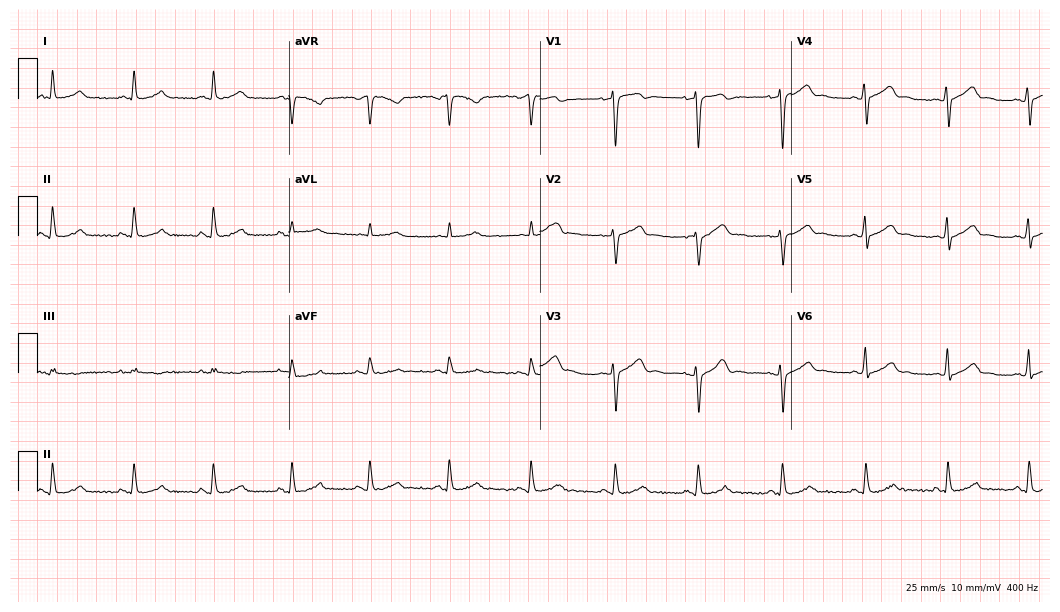
ECG — a 40-year-old male. Labelled as a normal ECG.